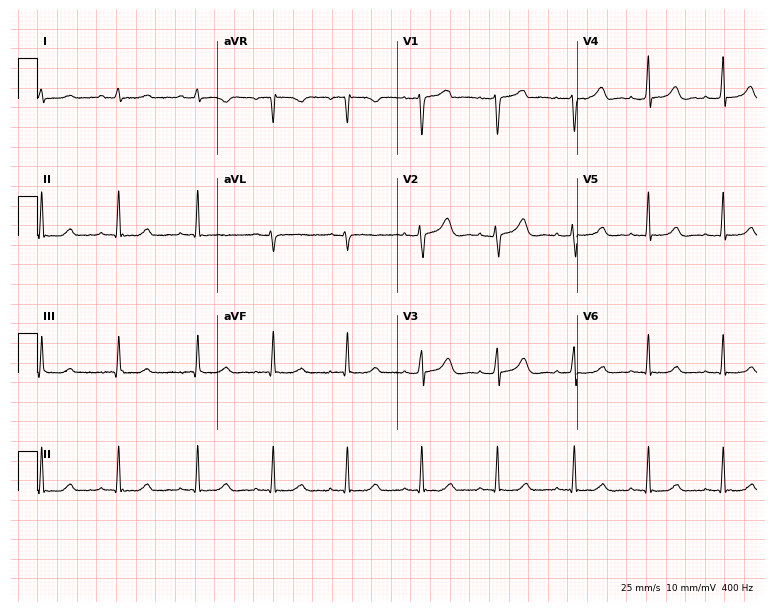
12-lead ECG from a woman, 27 years old (7.3-second recording at 400 Hz). No first-degree AV block, right bundle branch block, left bundle branch block, sinus bradycardia, atrial fibrillation or sinus tachycardia recorded for this tracing. Findings outside these six are not listed.